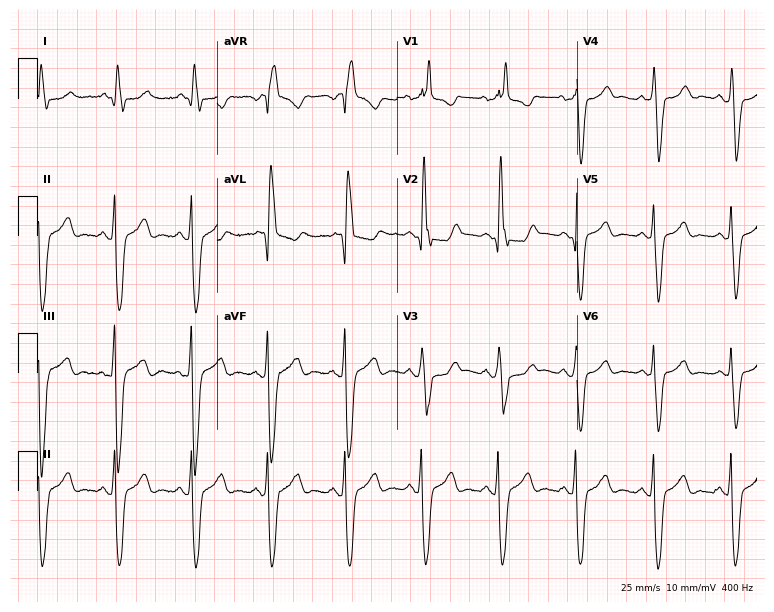
Standard 12-lead ECG recorded from a 71-year-old woman. The tracing shows right bundle branch block.